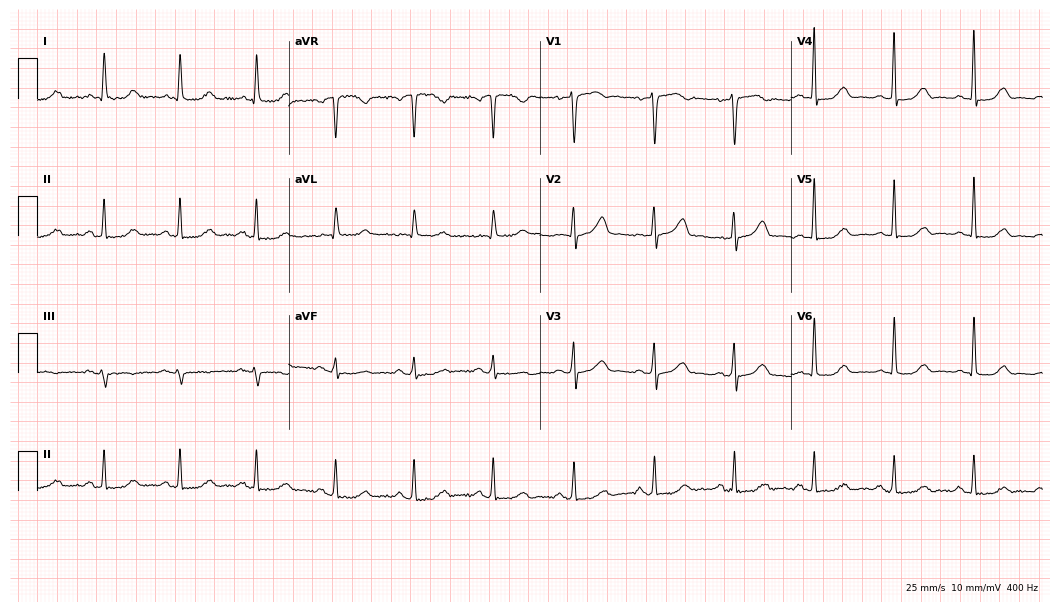
Standard 12-lead ECG recorded from a woman, 67 years old. None of these six findings is recorded: first-degree AV block, right bundle branch block, left bundle branch block, sinus bradycardia, atrial fibrillation, sinus tachycardia.